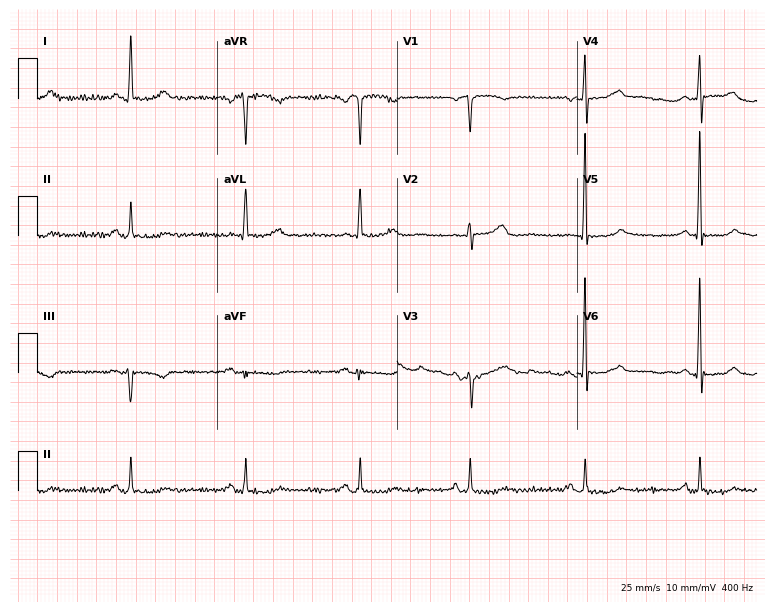
12-lead ECG from a female, 69 years old (7.3-second recording at 400 Hz). No first-degree AV block, right bundle branch block, left bundle branch block, sinus bradycardia, atrial fibrillation or sinus tachycardia recorded for this tracing.